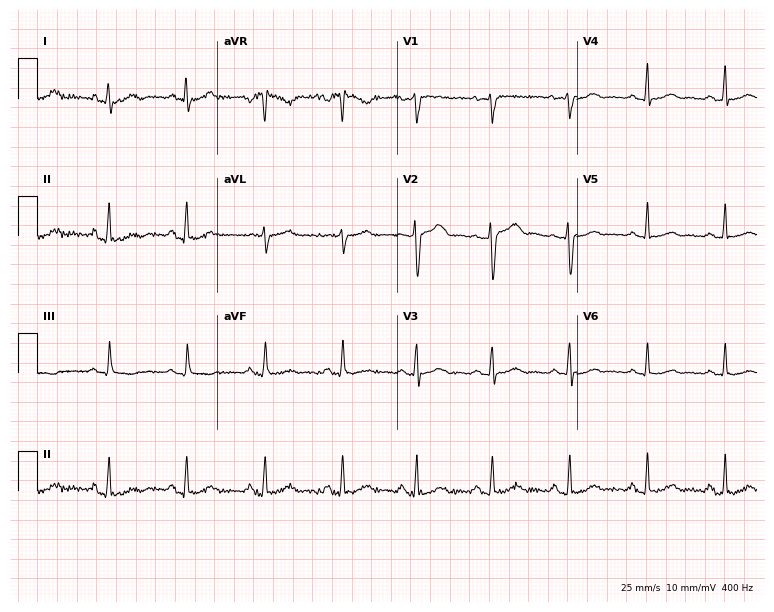
Electrocardiogram (7.3-second recording at 400 Hz), a 33-year-old female patient. Overall reading on record: normal ECG.